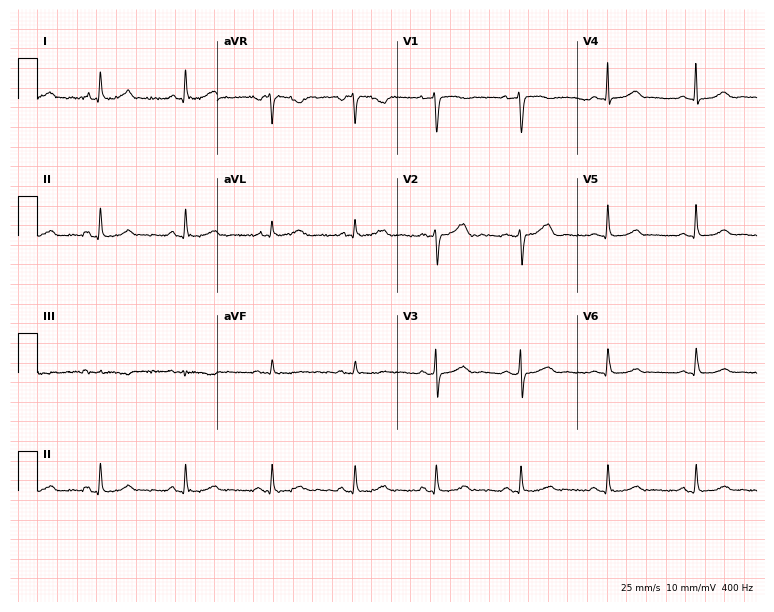
Electrocardiogram, a woman, 47 years old. Overall reading on record: normal ECG.